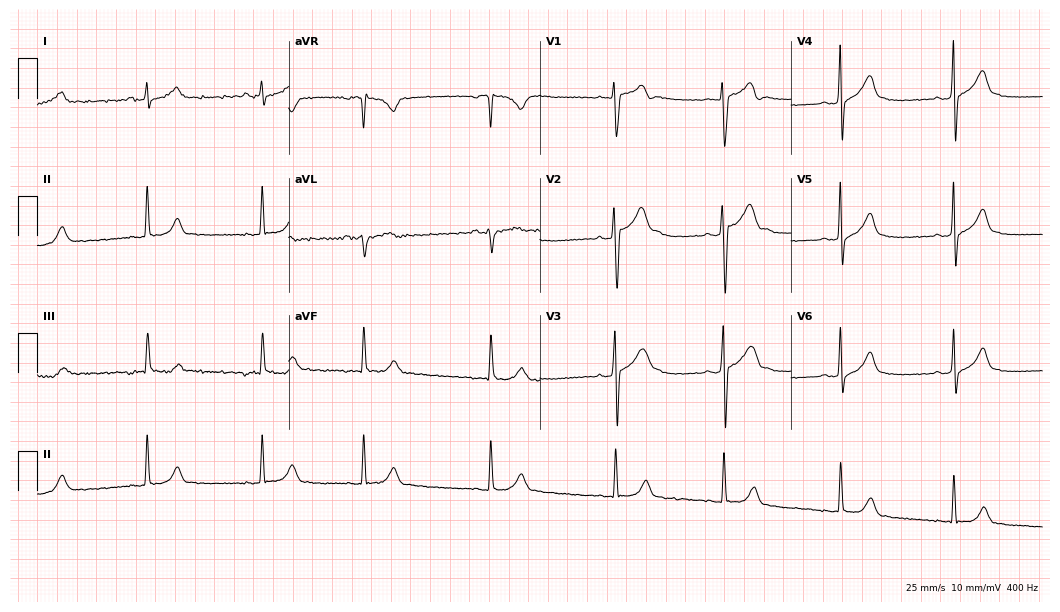
12-lead ECG from a female patient, 24 years old. Screened for six findings — first-degree AV block, right bundle branch block, left bundle branch block, sinus bradycardia, atrial fibrillation, sinus tachycardia — none is recorded. Findings outside these six are not listed.